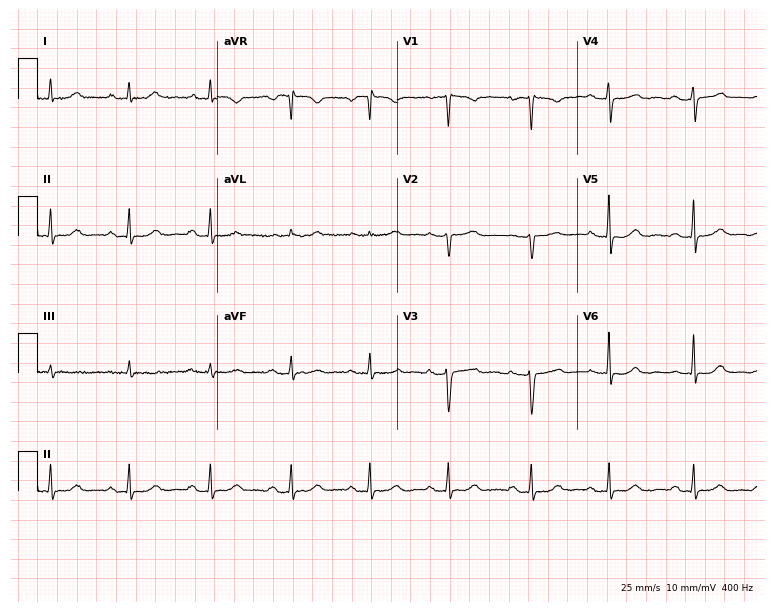
ECG (7.3-second recording at 400 Hz) — a woman, 50 years old. Screened for six findings — first-degree AV block, right bundle branch block, left bundle branch block, sinus bradycardia, atrial fibrillation, sinus tachycardia — none is recorded.